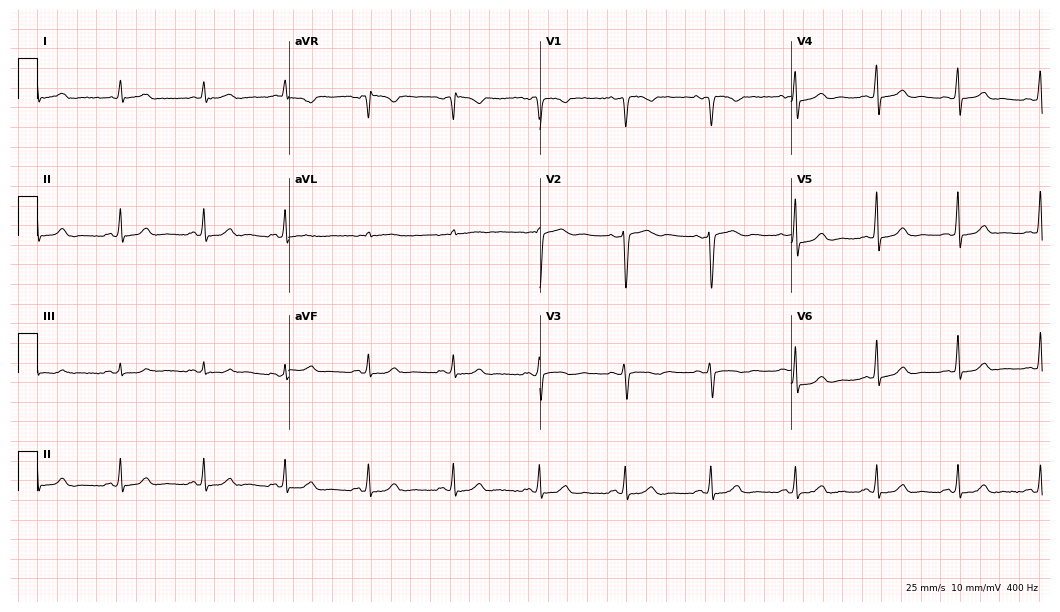
Standard 12-lead ECG recorded from a female patient, 45 years old (10.2-second recording at 400 Hz). Read as a normal ECG.